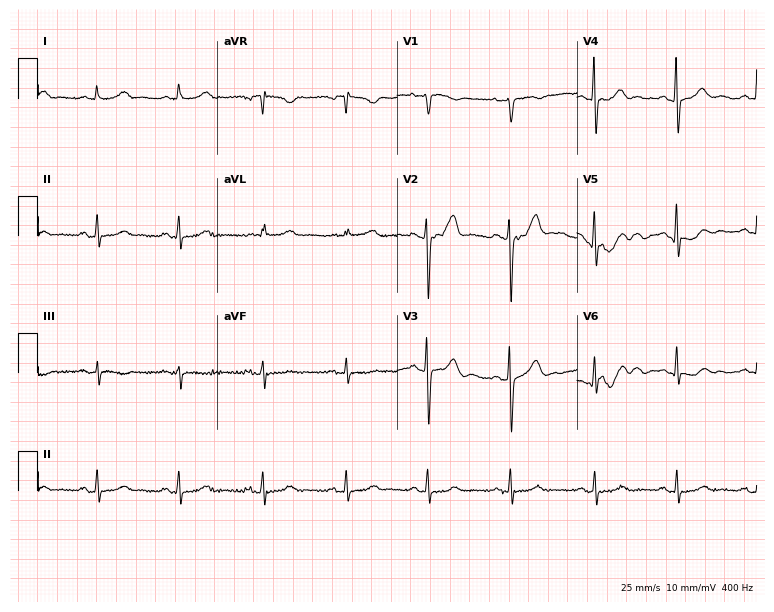
Electrocardiogram, a male, 69 years old. Of the six screened findings (first-degree AV block, right bundle branch block, left bundle branch block, sinus bradycardia, atrial fibrillation, sinus tachycardia), none is recorded. Findings outside these six are not listed.